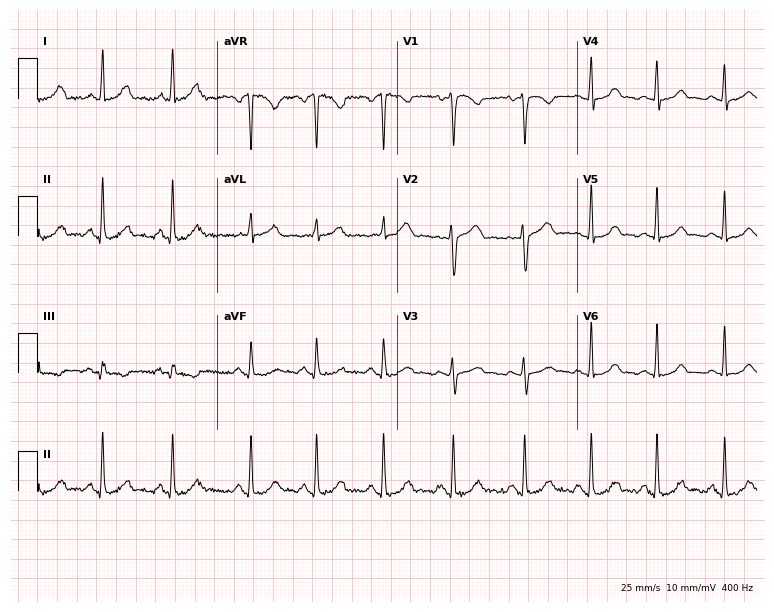
Resting 12-lead electrocardiogram (7.3-second recording at 400 Hz). Patient: a 28-year-old woman. None of these six findings is recorded: first-degree AV block, right bundle branch block, left bundle branch block, sinus bradycardia, atrial fibrillation, sinus tachycardia. Findings outside these six are not listed.